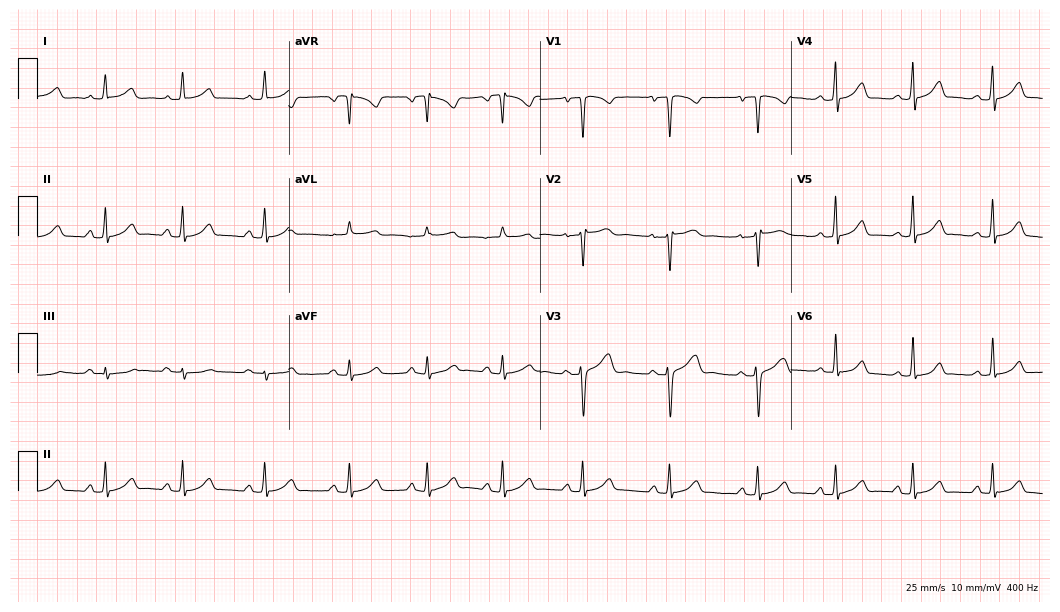
Electrocardiogram, a 25-year-old female patient. Overall reading on record: normal ECG.